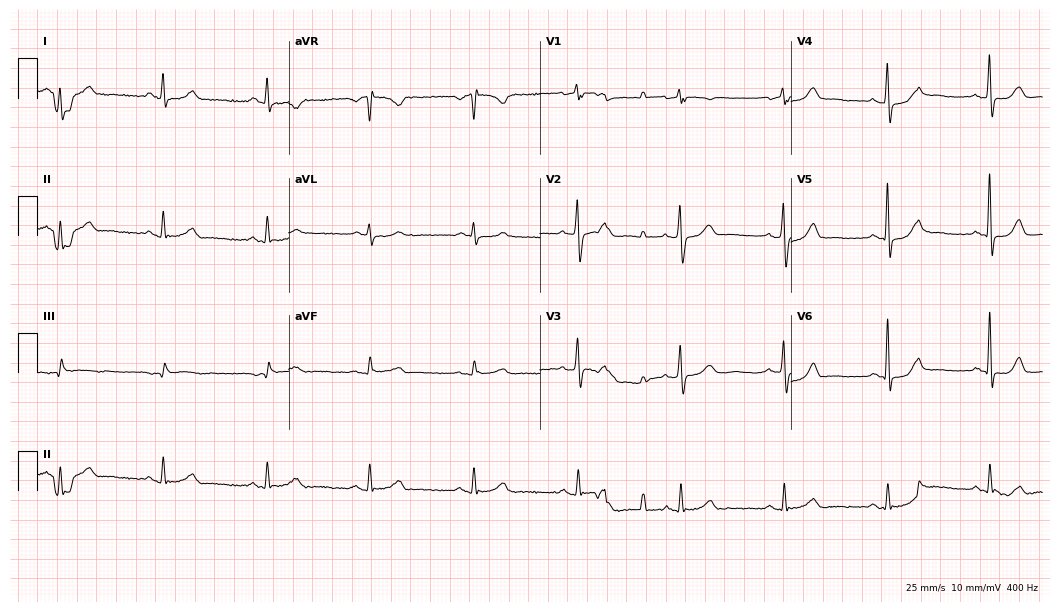
Resting 12-lead electrocardiogram. Patient: a 77-year-old male. None of these six findings is recorded: first-degree AV block, right bundle branch block, left bundle branch block, sinus bradycardia, atrial fibrillation, sinus tachycardia.